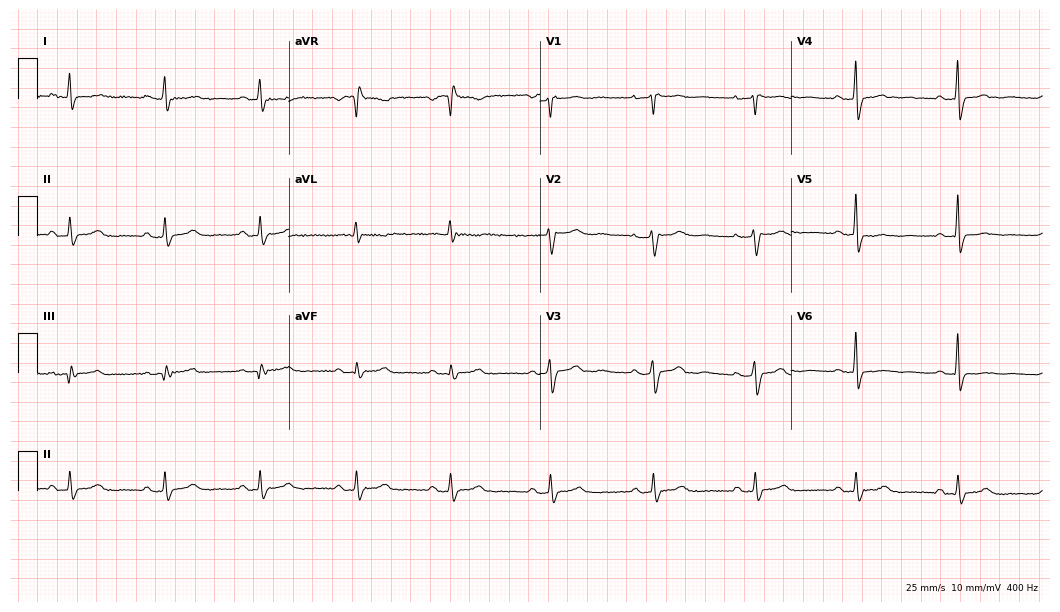
ECG (10.2-second recording at 400 Hz) — a woman, 38 years old. Screened for six findings — first-degree AV block, right bundle branch block, left bundle branch block, sinus bradycardia, atrial fibrillation, sinus tachycardia — none is recorded.